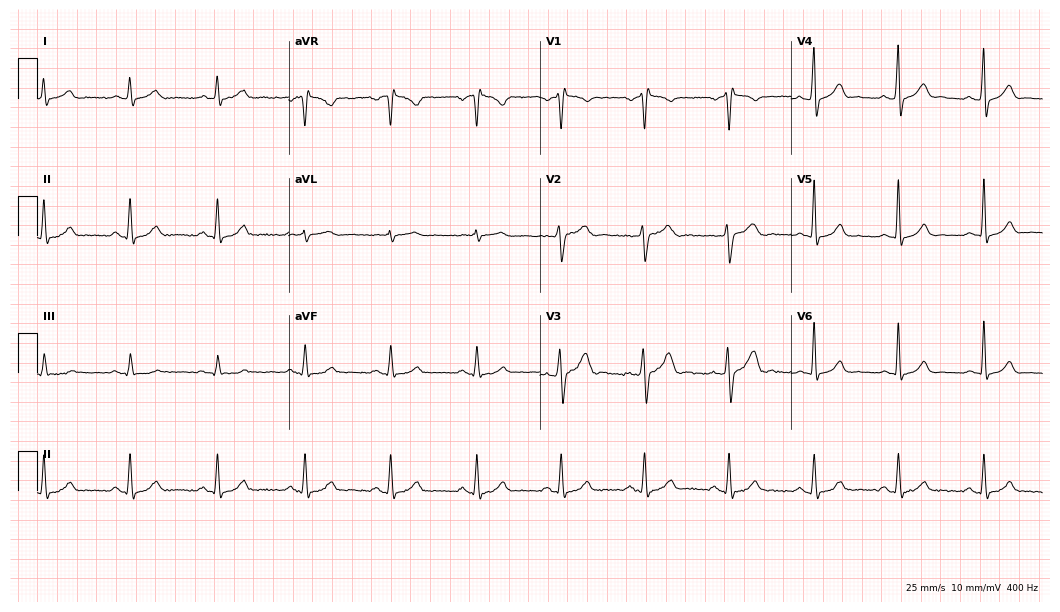
Resting 12-lead electrocardiogram. Patient: a 42-year-old male. Read as a normal ECG.